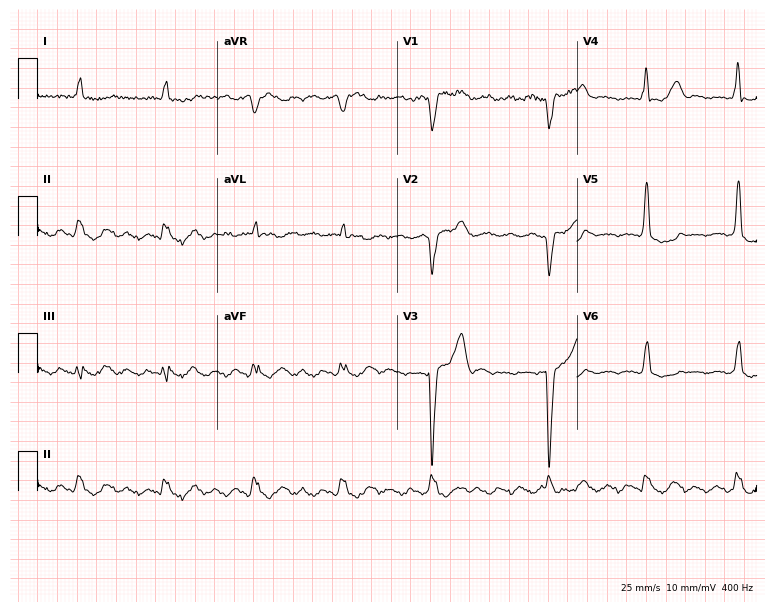
12-lead ECG from a male patient, 83 years old (7.3-second recording at 400 Hz). Shows left bundle branch block (LBBB).